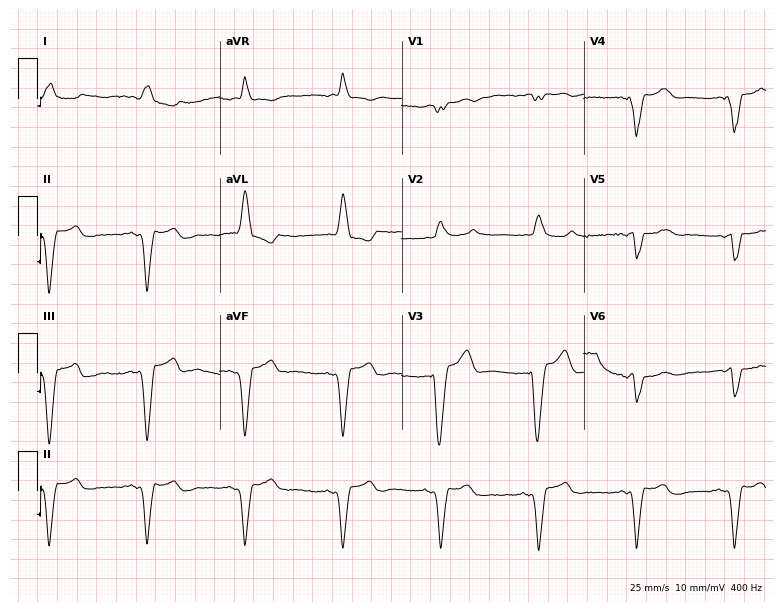
12-lead ECG from an 83-year-old male. Findings include right bundle branch block.